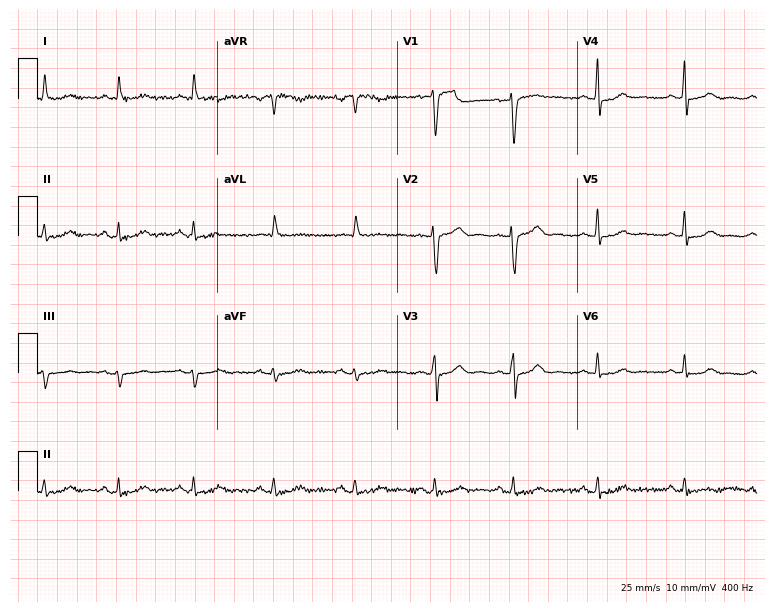
12-lead ECG (7.3-second recording at 400 Hz) from a female, 63 years old. Labelled as a normal ECG.